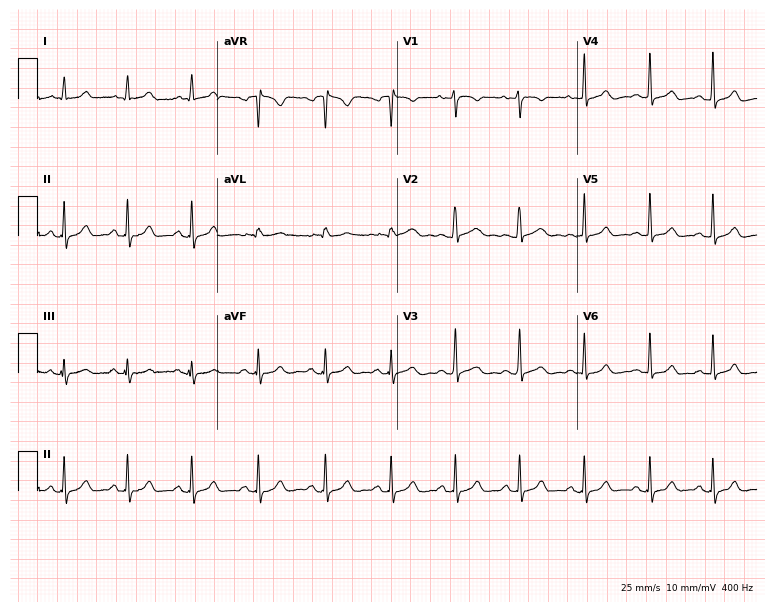
12-lead ECG from an 18-year-old woman (7.3-second recording at 400 Hz). Recorded interpretation: within normal limits.